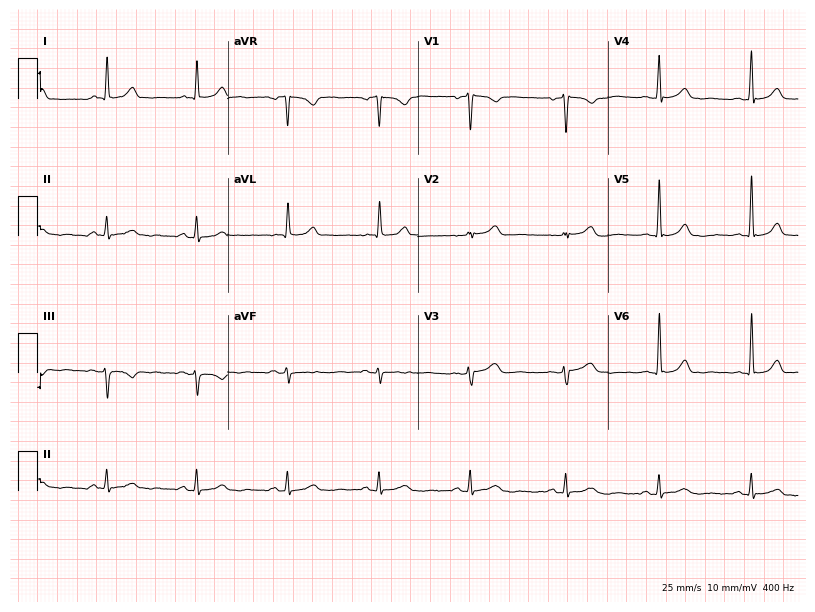
Resting 12-lead electrocardiogram (7.8-second recording at 400 Hz). Patient: a 67-year-old woman. None of these six findings is recorded: first-degree AV block, right bundle branch block, left bundle branch block, sinus bradycardia, atrial fibrillation, sinus tachycardia.